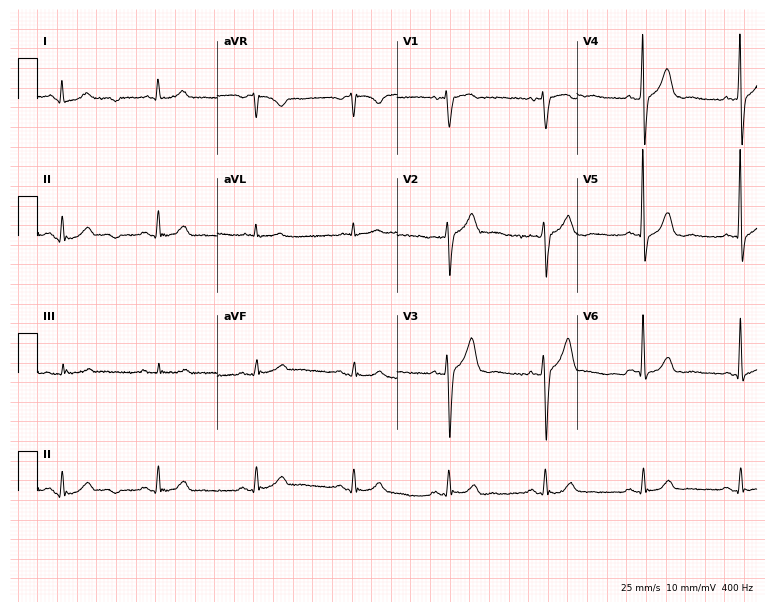
Standard 12-lead ECG recorded from a male, 54 years old. Read as a normal ECG.